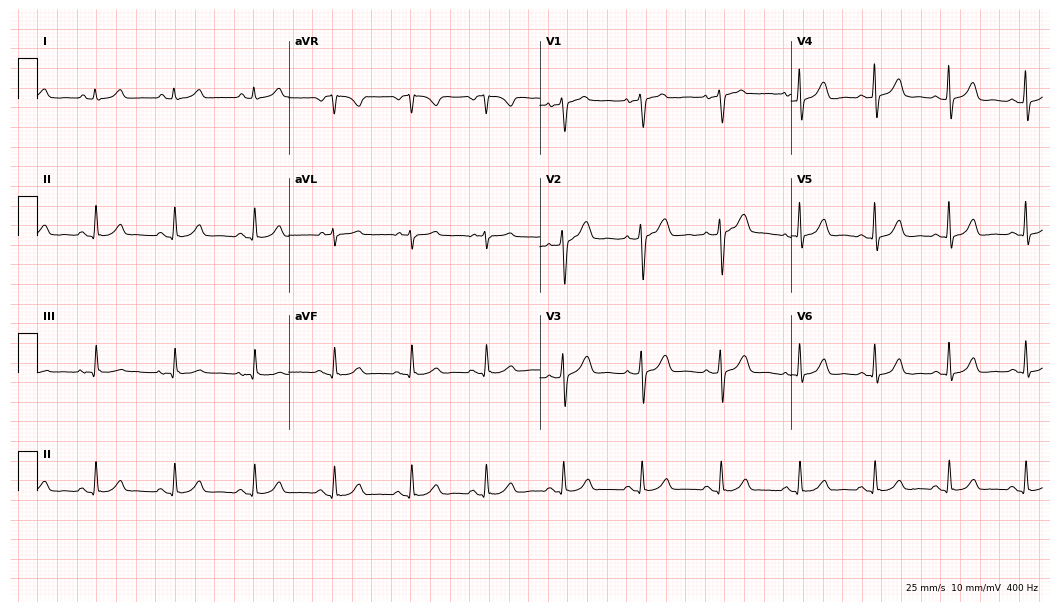
Electrocardiogram, a woman, 42 years old. Overall reading on record: normal ECG.